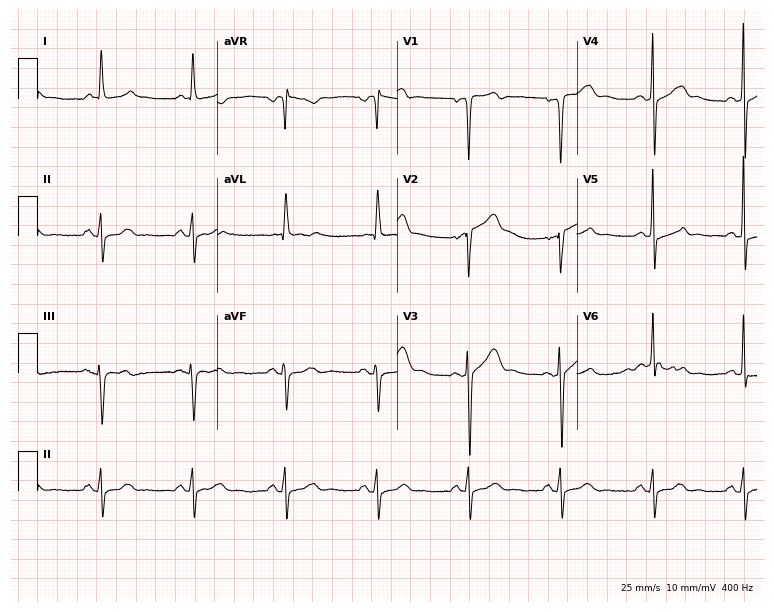
ECG (7.3-second recording at 400 Hz) — a 61-year-old male. Screened for six findings — first-degree AV block, right bundle branch block (RBBB), left bundle branch block (LBBB), sinus bradycardia, atrial fibrillation (AF), sinus tachycardia — none is recorded.